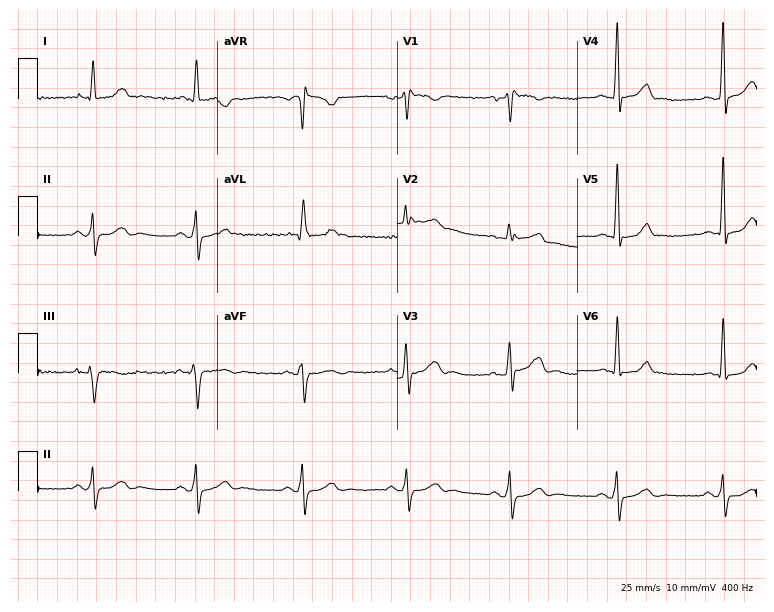
12-lead ECG (7.3-second recording at 400 Hz) from a male, 51 years old. Findings include right bundle branch block.